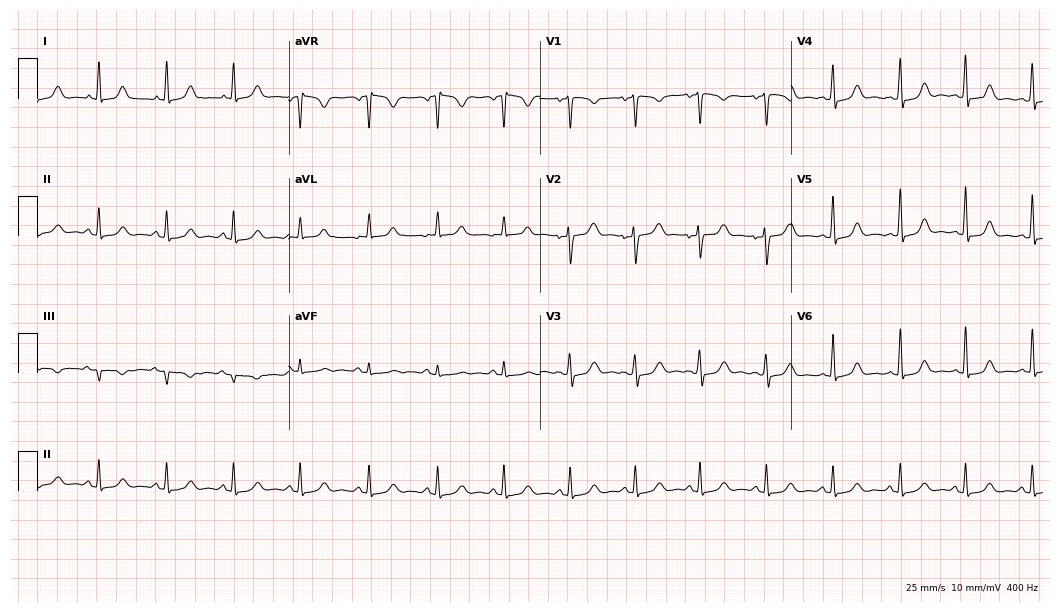
Standard 12-lead ECG recorded from a 40-year-old woman (10.2-second recording at 400 Hz). Read as a normal ECG.